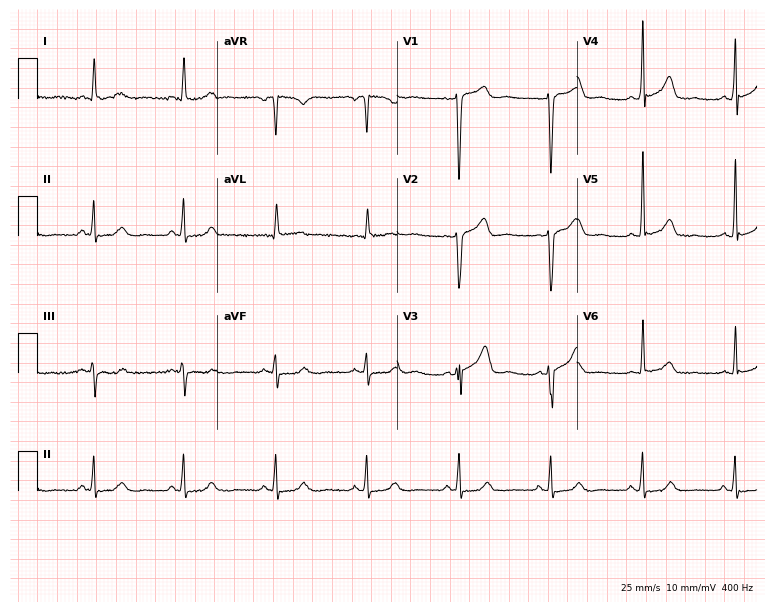
ECG (7.3-second recording at 400 Hz) — a man, 72 years old. Screened for six findings — first-degree AV block, right bundle branch block, left bundle branch block, sinus bradycardia, atrial fibrillation, sinus tachycardia — none is recorded.